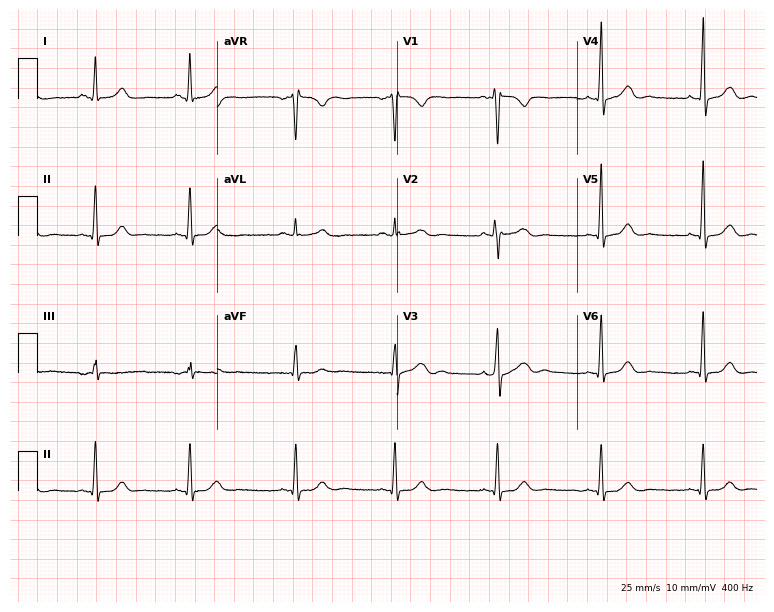
ECG — a 36-year-old man. Labelled as a normal ECG.